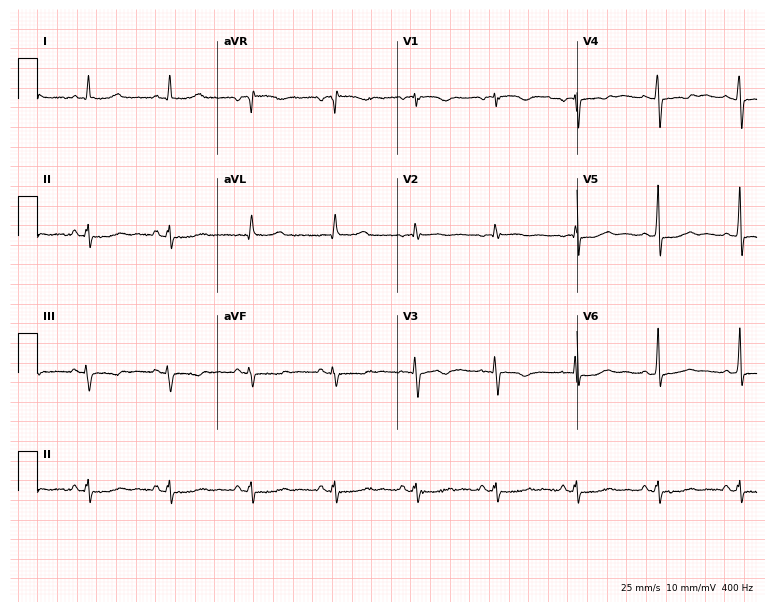
12-lead ECG from a 58-year-old female patient (7.3-second recording at 400 Hz). No first-degree AV block, right bundle branch block (RBBB), left bundle branch block (LBBB), sinus bradycardia, atrial fibrillation (AF) or sinus tachycardia recorded for this tracing.